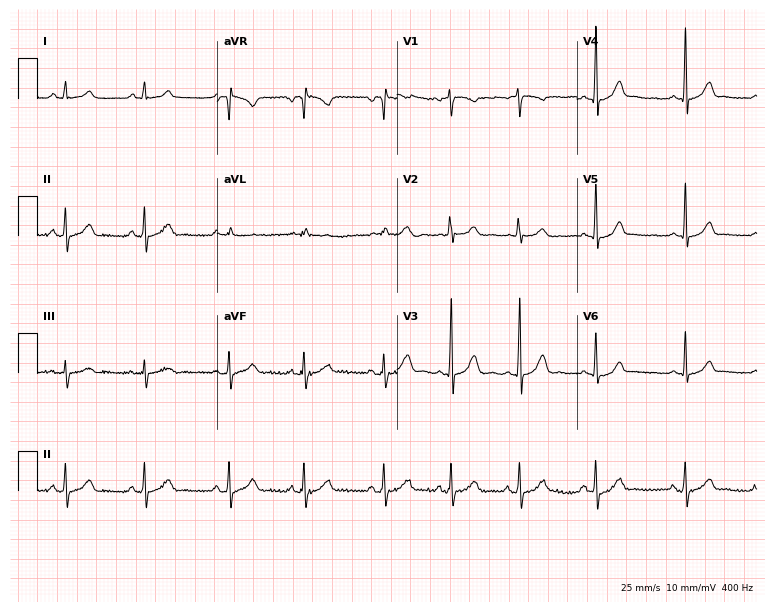
ECG — a 24-year-old female patient. Labelled as a normal ECG.